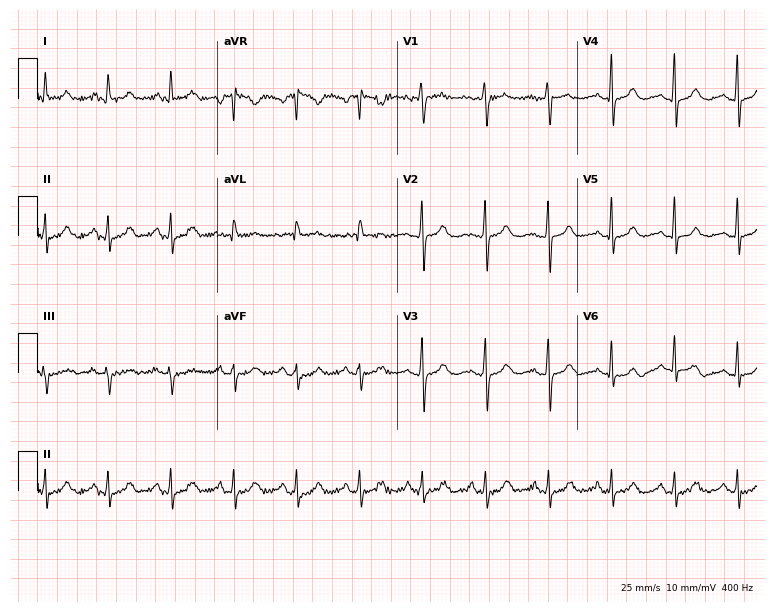
12-lead ECG (7.3-second recording at 400 Hz) from a woman, 68 years old. Labelled as a normal ECG.